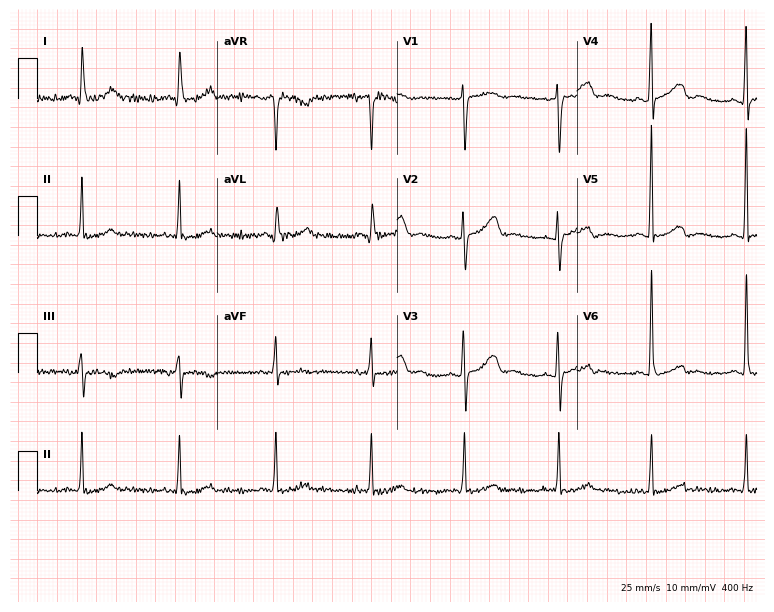
12-lead ECG from a woman, 70 years old (7.3-second recording at 400 Hz). Recorded interpretation: within normal limits.